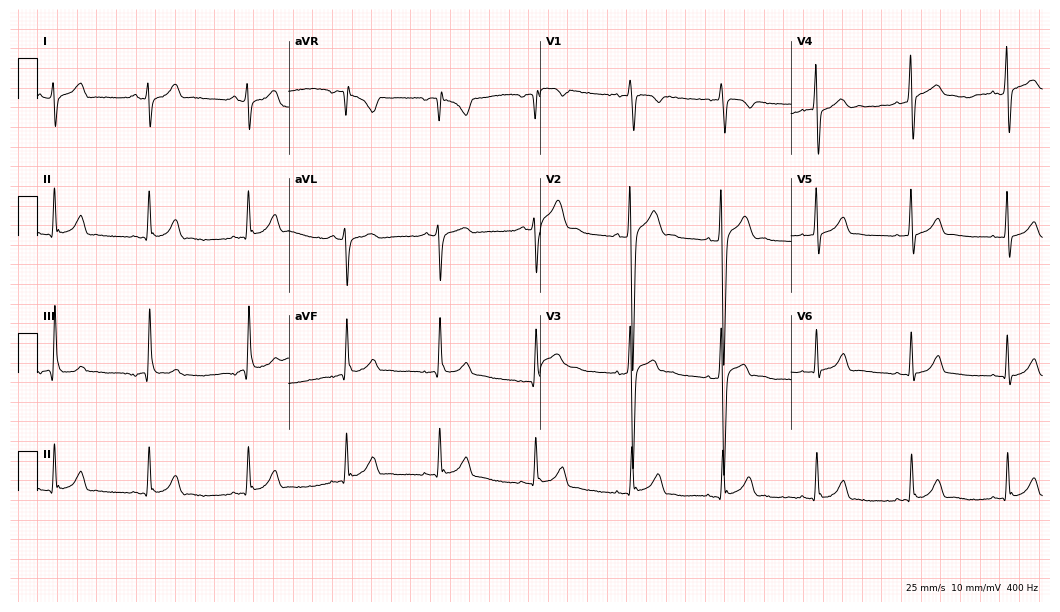
12-lead ECG from a male patient, 18 years old. Recorded interpretation: within normal limits.